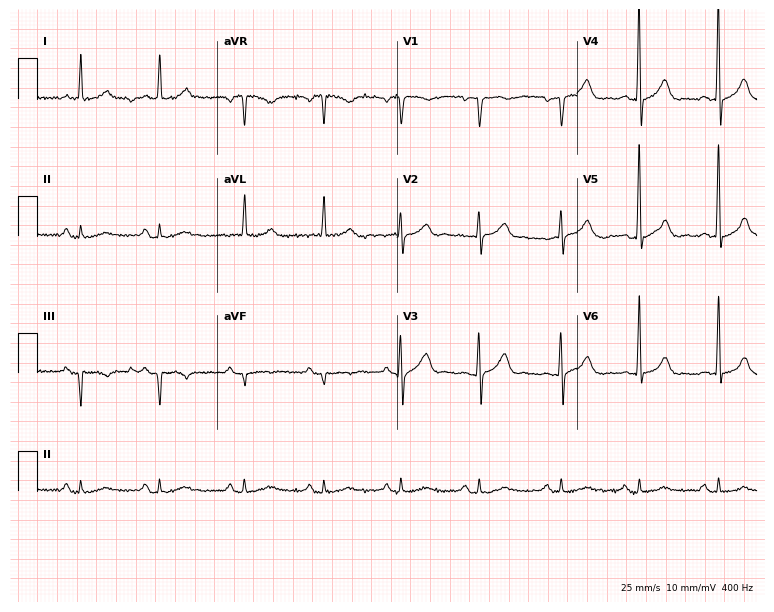
Electrocardiogram (7.3-second recording at 400 Hz), a female patient, 82 years old. Of the six screened findings (first-degree AV block, right bundle branch block, left bundle branch block, sinus bradycardia, atrial fibrillation, sinus tachycardia), none is recorded.